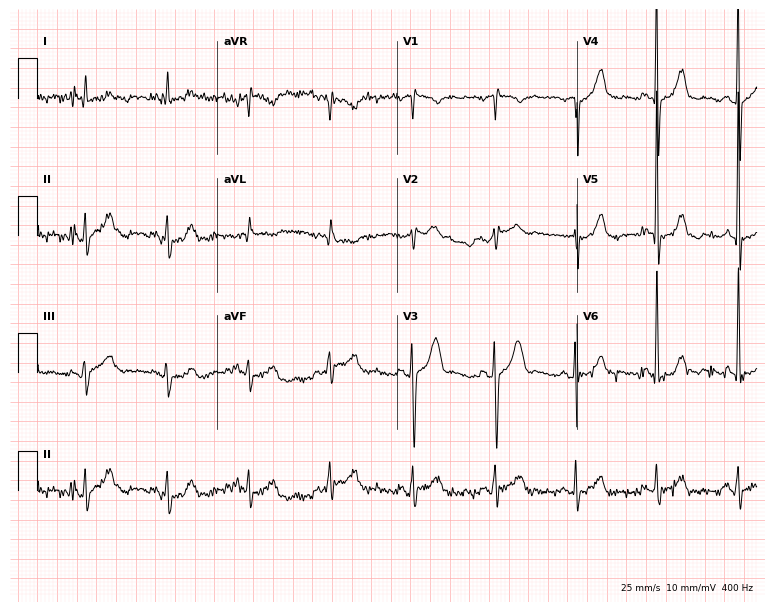
Standard 12-lead ECG recorded from a male, 55 years old. None of these six findings is recorded: first-degree AV block, right bundle branch block (RBBB), left bundle branch block (LBBB), sinus bradycardia, atrial fibrillation (AF), sinus tachycardia.